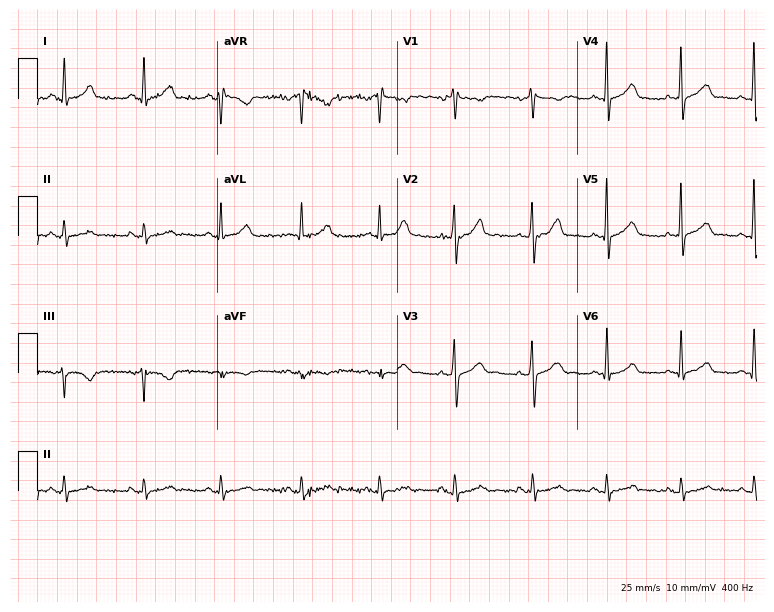
Electrocardiogram, a male patient, 47 years old. Overall reading on record: normal ECG.